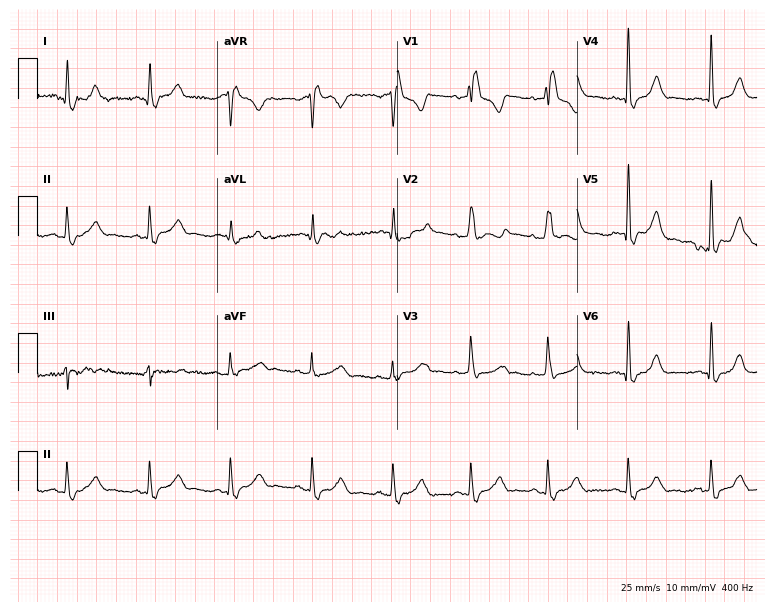
Electrocardiogram (7.3-second recording at 400 Hz), a woman, 54 years old. Interpretation includes right bundle branch block.